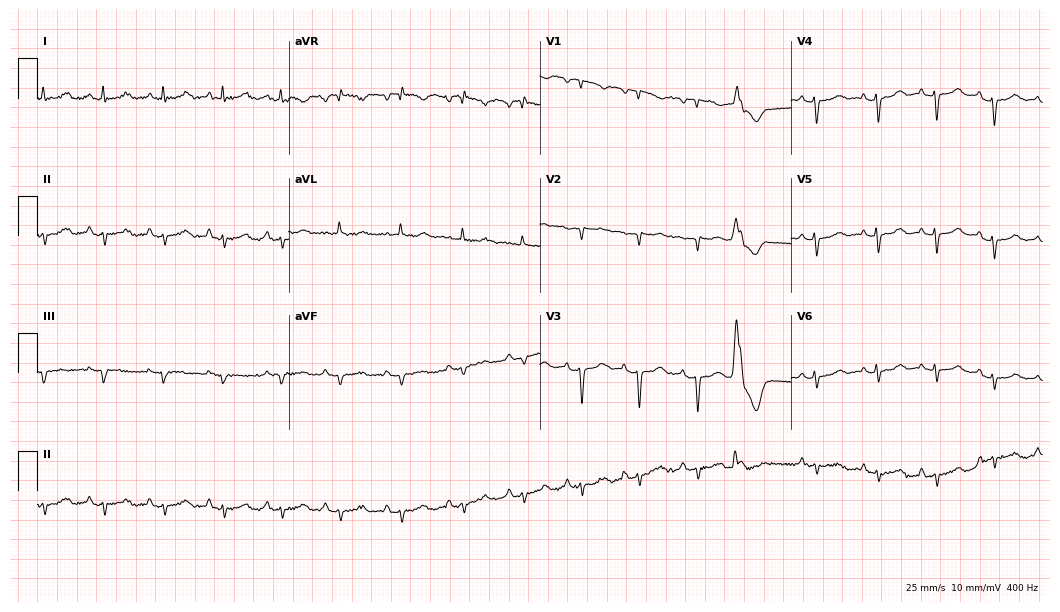
Standard 12-lead ECG recorded from an 81-year-old female (10.2-second recording at 400 Hz). None of these six findings is recorded: first-degree AV block, right bundle branch block, left bundle branch block, sinus bradycardia, atrial fibrillation, sinus tachycardia. Findings outside these six are not listed.